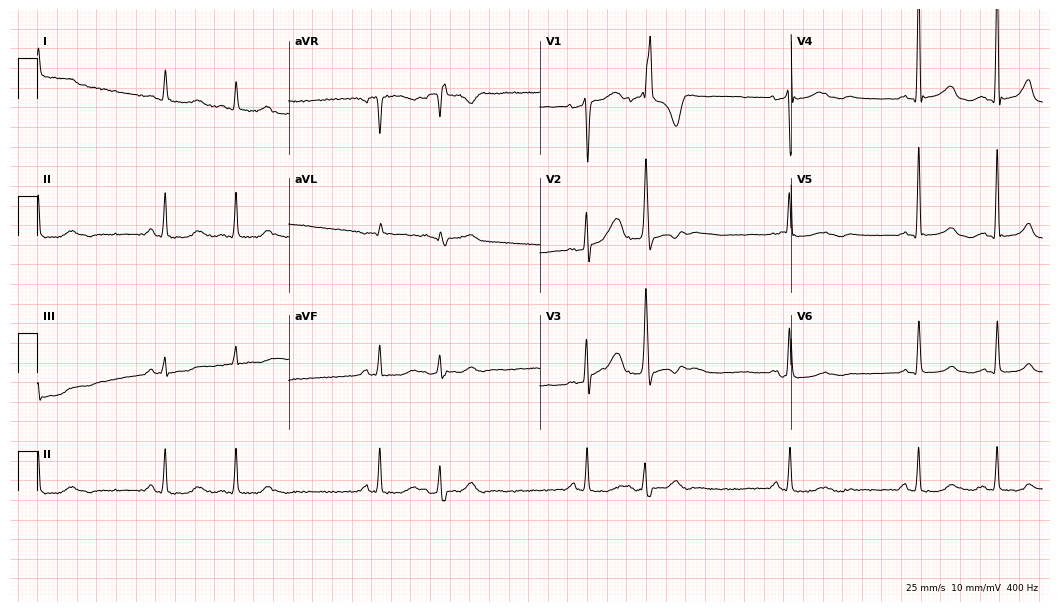
Electrocardiogram (10.2-second recording at 400 Hz), a man, 77 years old. Of the six screened findings (first-degree AV block, right bundle branch block (RBBB), left bundle branch block (LBBB), sinus bradycardia, atrial fibrillation (AF), sinus tachycardia), none is recorded. Other findings, if any, are not listed.